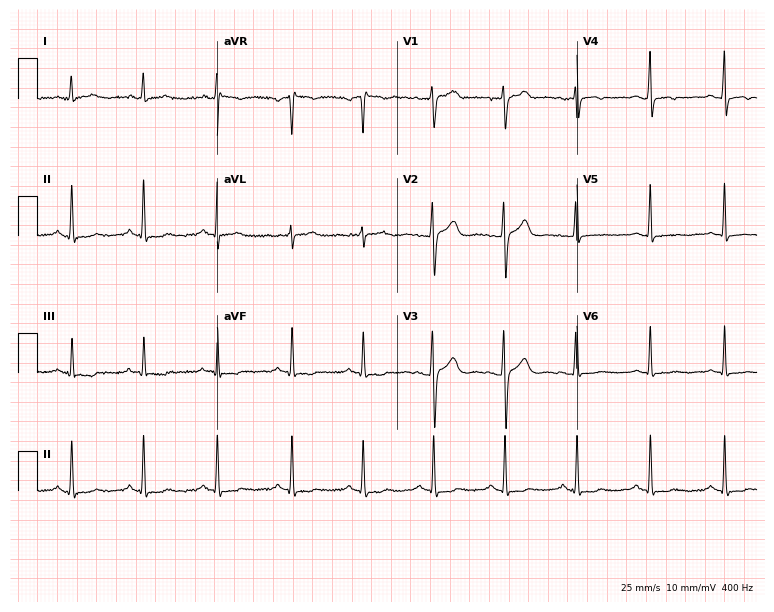
12-lead ECG (7.3-second recording at 400 Hz) from a woman, 37 years old. Screened for six findings — first-degree AV block, right bundle branch block, left bundle branch block, sinus bradycardia, atrial fibrillation, sinus tachycardia — none is recorded.